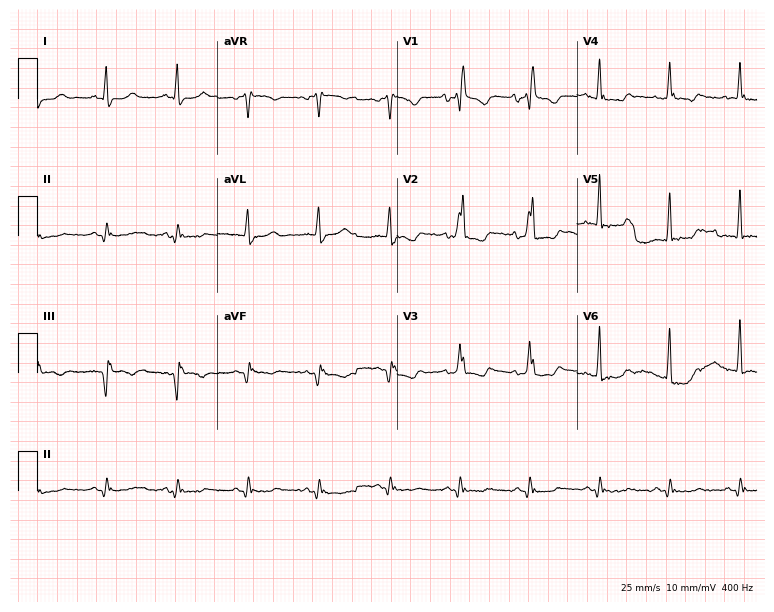
Electrocardiogram (7.3-second recording at 400 Hz), a 75-year-old male. Interpretation includes right bundle branch block (RBBB).